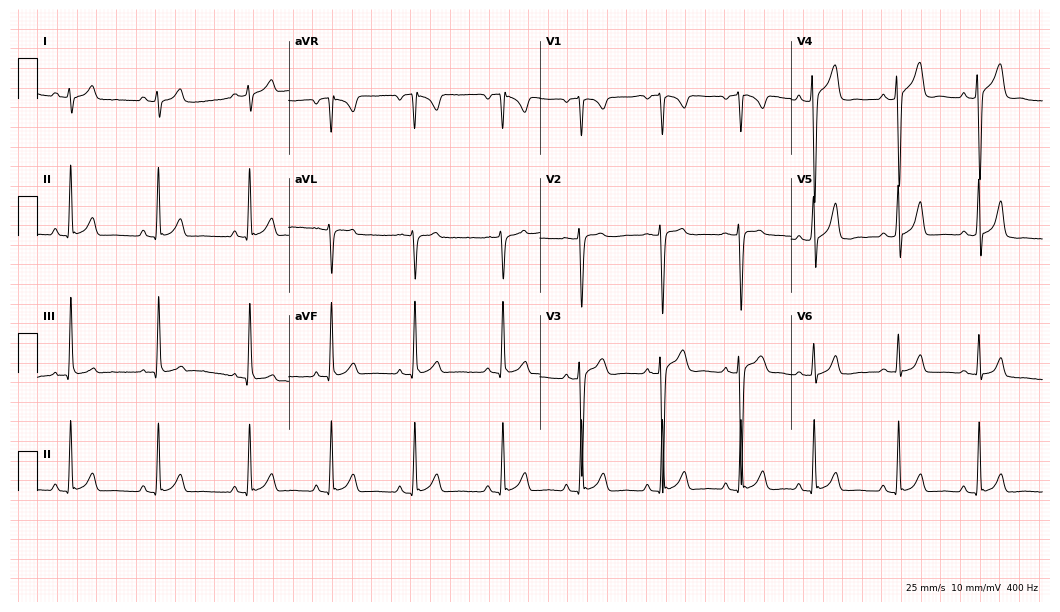
ECG — a male, 20 years old. Labelled as a normal ECG.